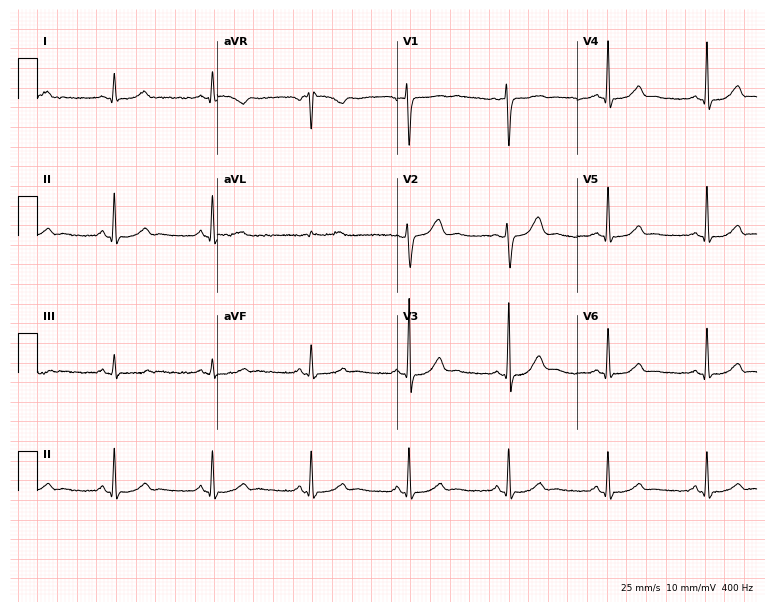
ECG — a 46-year-old woman. Screened for six findings — first-degree AV block, right bundle branch block (RBBB), left bundle branch block (LBBB), sinus bradycardia, atrial fibrillation (AF), sinus tachycardia — none is recorded. Only these six findings were labelled.